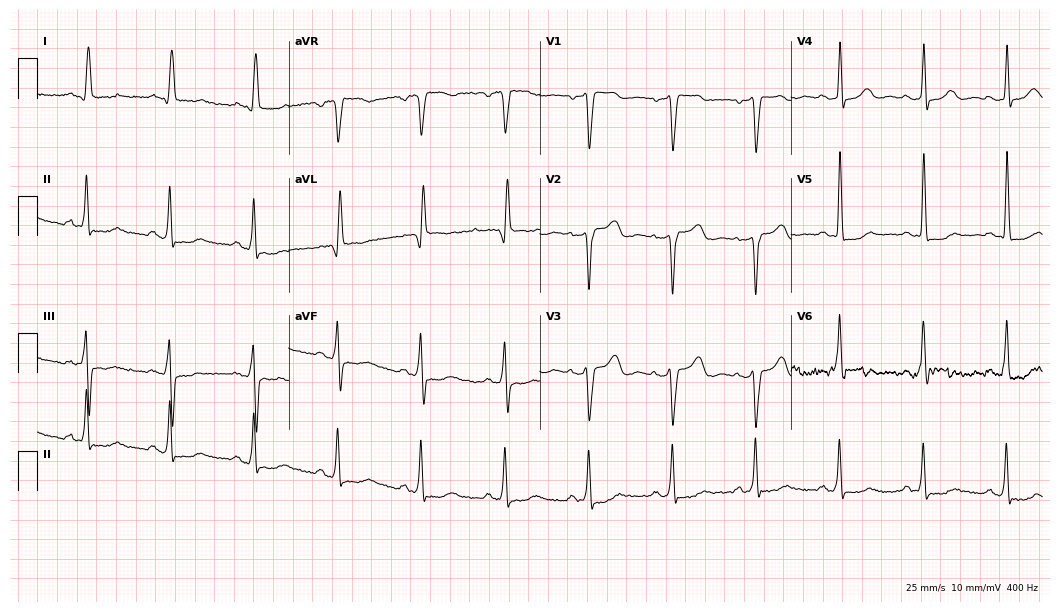
ECG (10.2-second recording at 400 Hz) — a woman, 84 years old. Findings include left bundle branch block (LBBB).